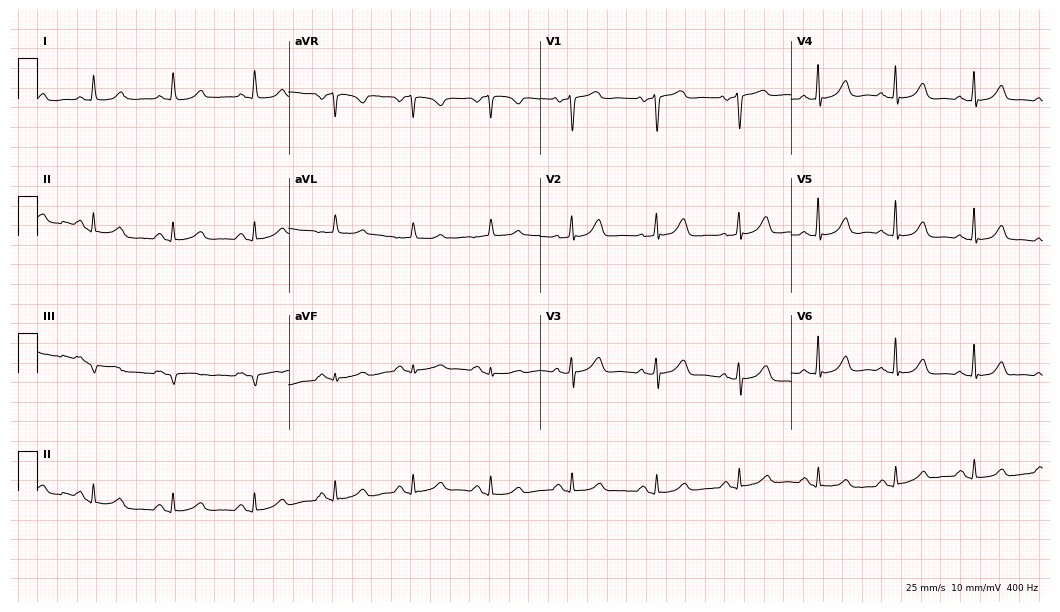
ECG (10.2-second recording at 400 Hz) — a 59-year-old female patient. Labelled as a normal ECG.